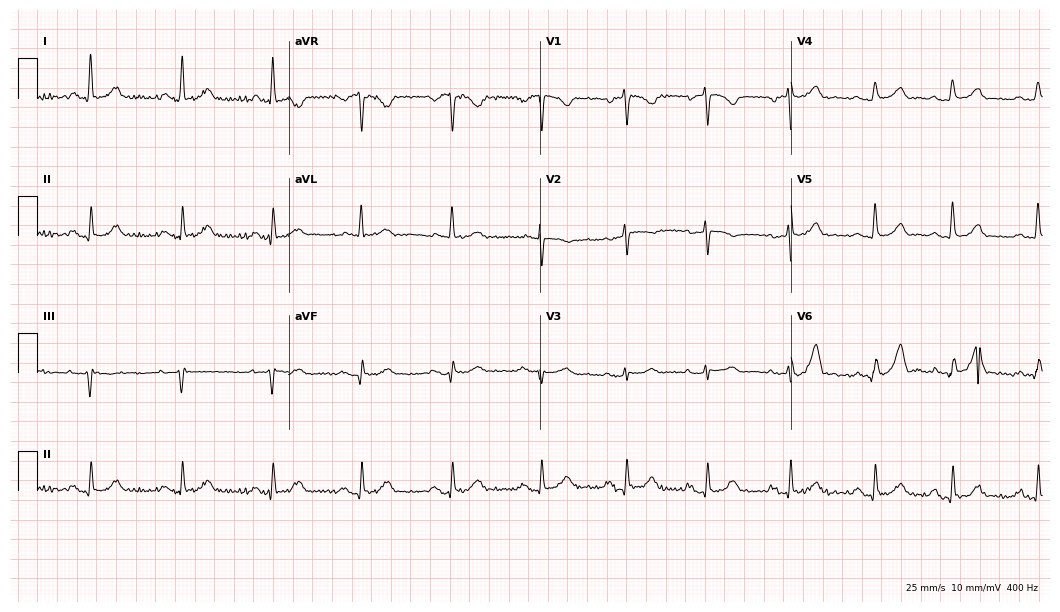
ECG — a female patient, 79 years old. Labelled as a normal ECG.